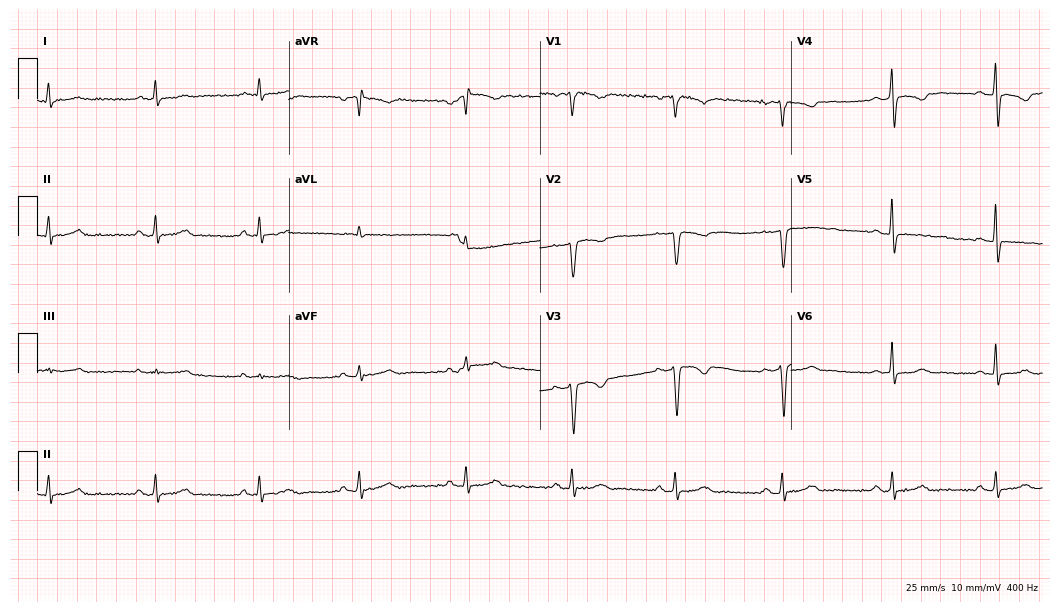
ECG (10.2-second recording at 400 Hz) — a 39-year-old female patient. Screened for six findings — first-degree AV block, right bundle branch block (RBBB), left bundle branch block (LBBB), sinus bradycardia, atrial fibrillation (AF), sinus tachycardia — none is recorded.